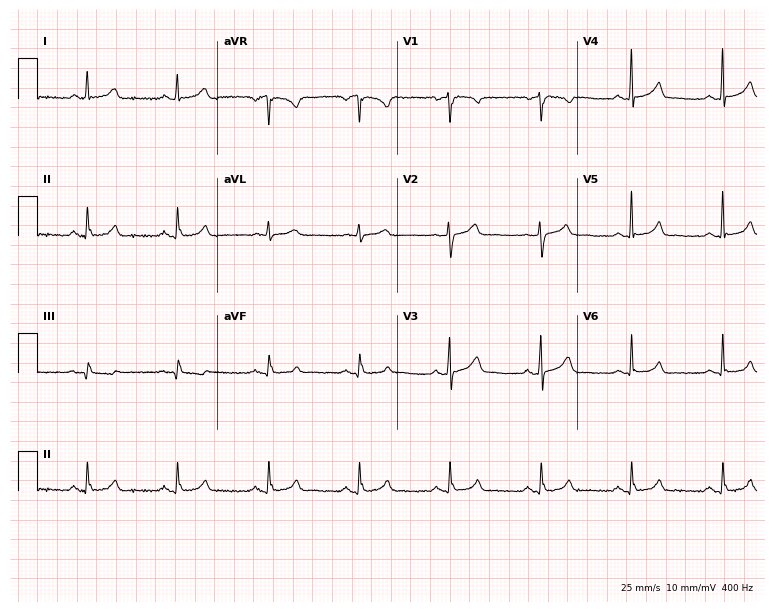
Resting 12-lead electrocardiogram. Patient: a 54-year-old male. Read as a normal ECG.